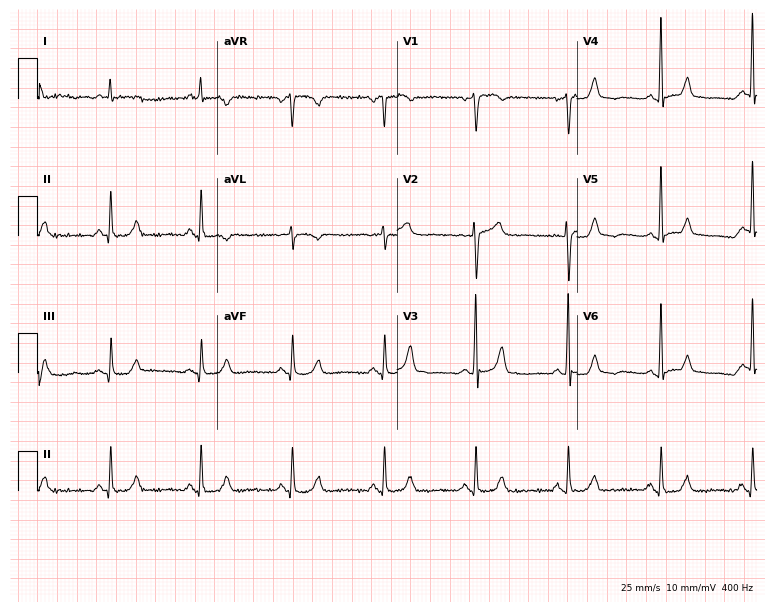
12-lead ECG from a 54-year-old female. Recorded interpretation: within normal limits.